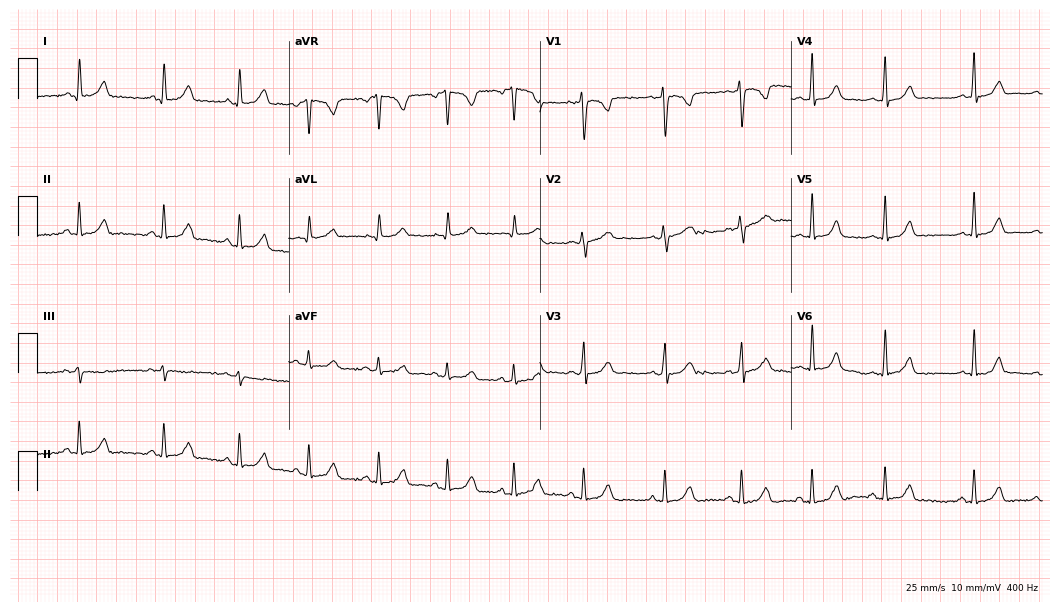
Resting 12-lead electrocardiogram (10.2-second recording at 400 Hz). Patient: a 25-year-old woman. None of these six findings is recorded: first-degree AV block, right bundle branch block (RBBB), left bundle branch block (LBBB), sinus bradycardia, atrial fibrillation (AF), sinus tachycardia.